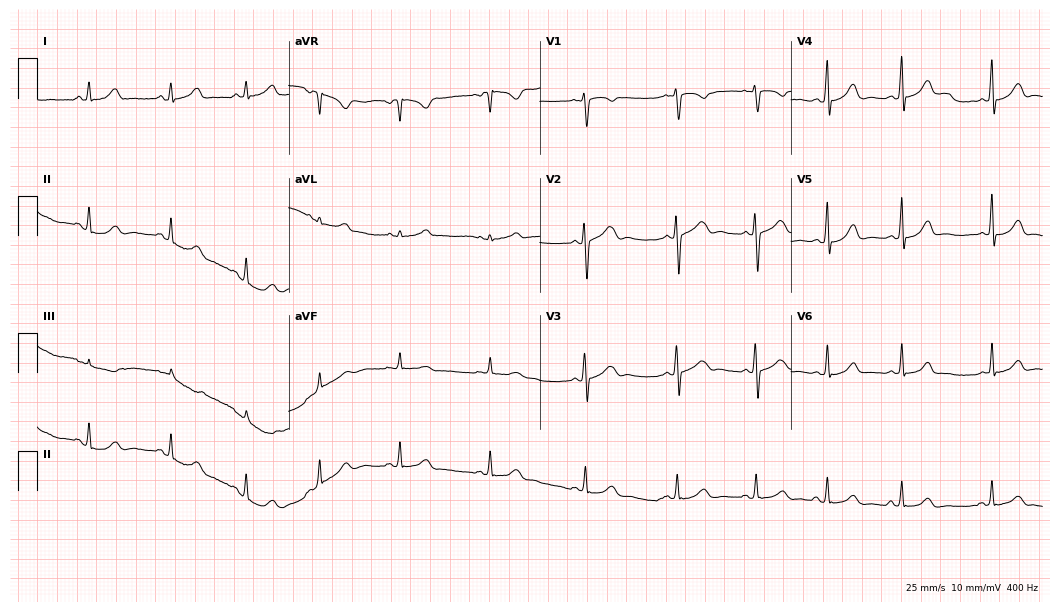
12-lead ECG (10.2-second recording at 400 Hz) from a 17-year-old female. Screened for six findings — first-degree AV block, right bundle branch block, left bundle branch block, sinus bradycardia, atrial fibrillation, sinus tachycardia — none is recorded. Findings outside these six are not listed.